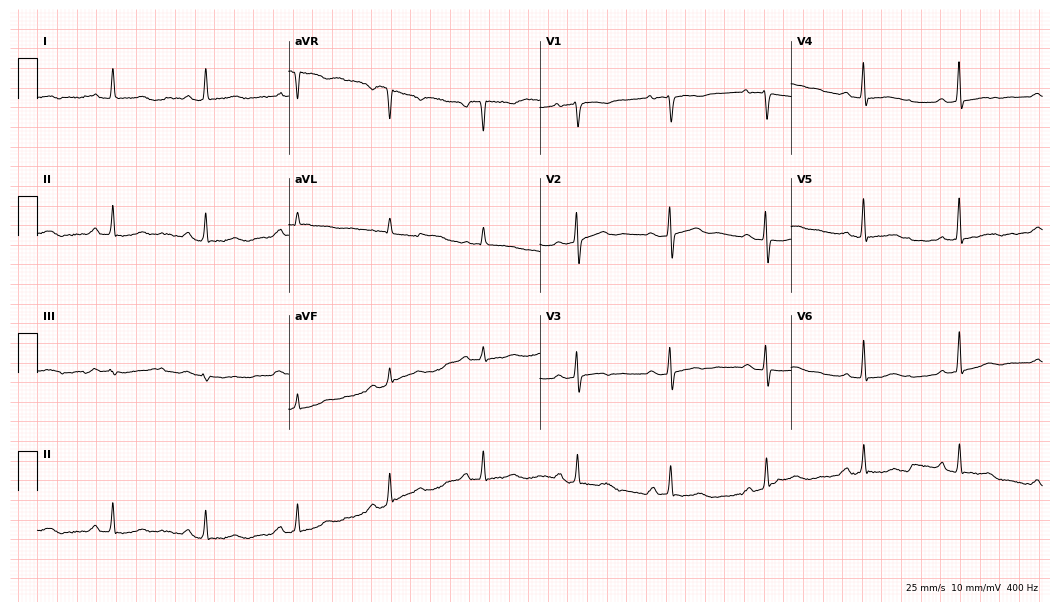
12-lead ECG from a 53-year-old female patient (10.2-second recording at 400 Hz). No first-degree AV block, right bundle branch block (RBBB), left bundle branch block (LBBB), sinus bradycardia, atrial fibrillation (AF) or sinus tachycardia recorded for this tracing. Only these six findings were labelled.